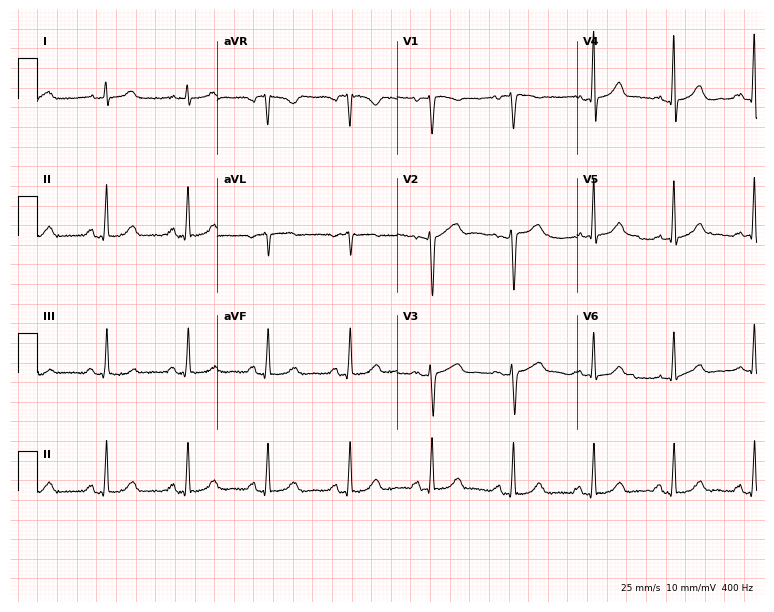
12-lead ECG from a female patient, 41 years old. Recorded interpretation: within normal limits.